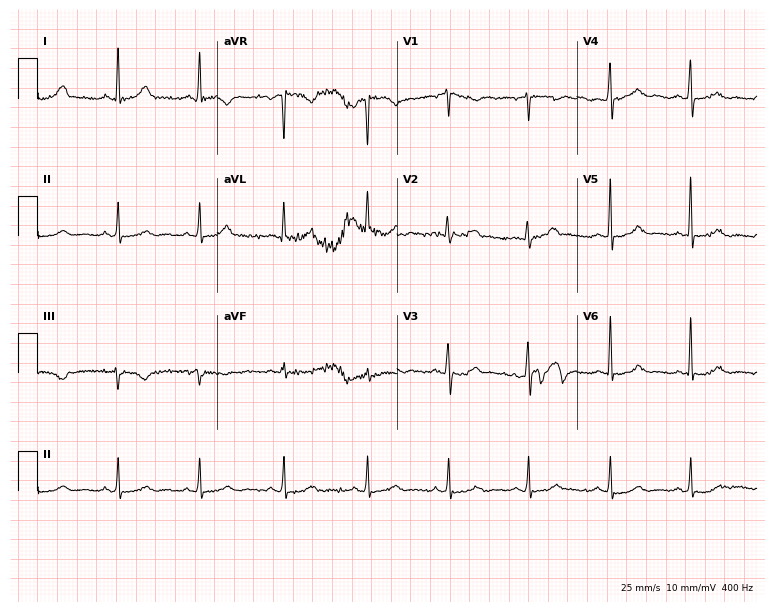
Resting 12-lead electrocardiogram. Patient: a 43-year-old female. Read as a normal ECG.